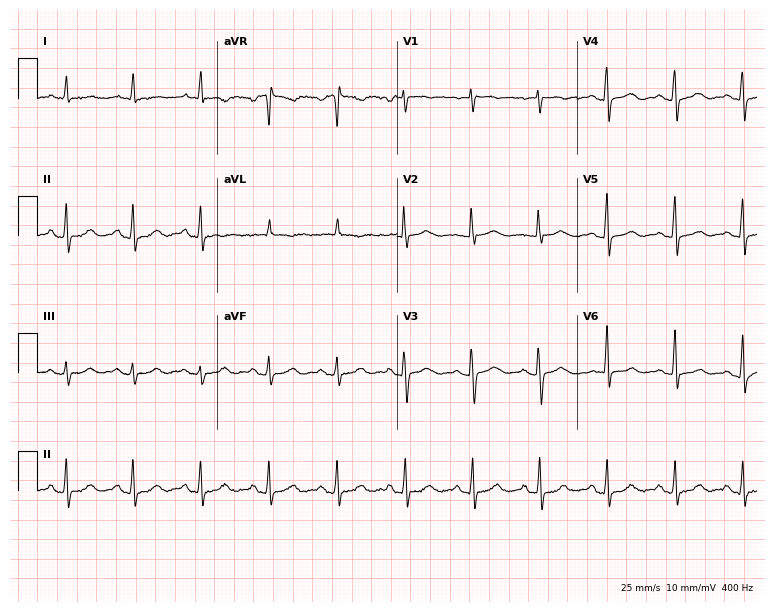
Standard 12-lead ECG recorded from a 78-year-old woman (7.3-second recording at 400 Hz). Read as a normal ECG.